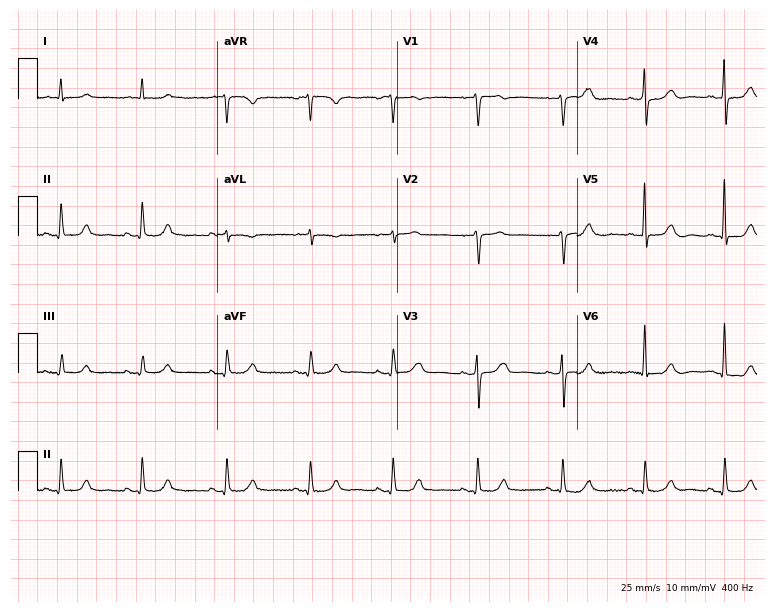
12-lead ECG from a 59-year-old female patient. Recorded interpretation: within normal limits.